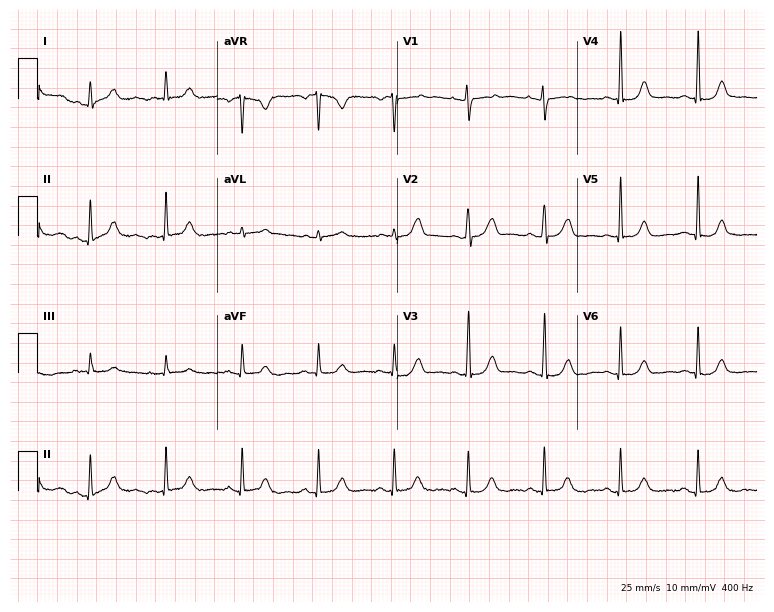
12-lead ECG from a 42-year-old female. Screened for six findings — first-degree AV block, right bundle branch block (RBBB), left bundle branch block (LBBB), sinus bradycardia, atrial fibrillation (AF), sinus tachycardia — none is recorded.